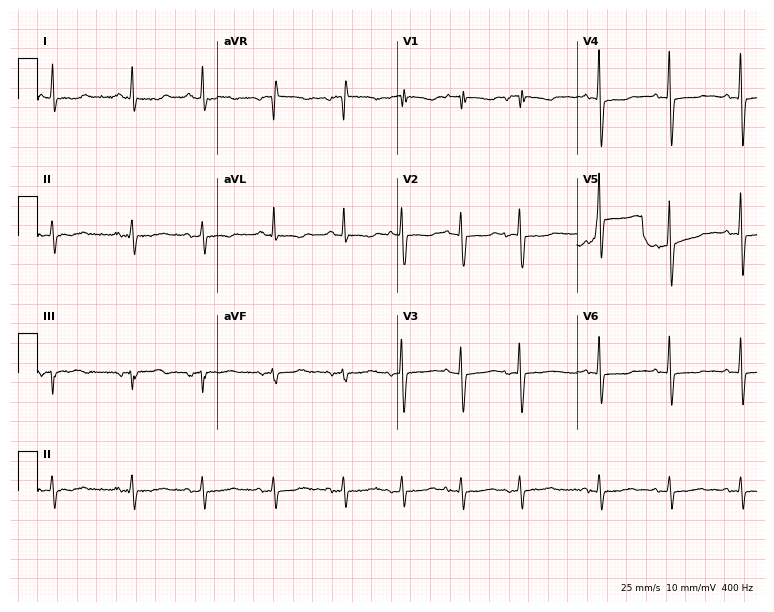
12-lead ECG from an 80-year-old female patient (7.3-second recording at 400 Hz). No first-degree AV block, right bundle branch block (RBBB), left bundle branch block (LBBB), sinus bradycardia, atrial fibrillation (AF) or sinus tachycardia recorded for this tracing.